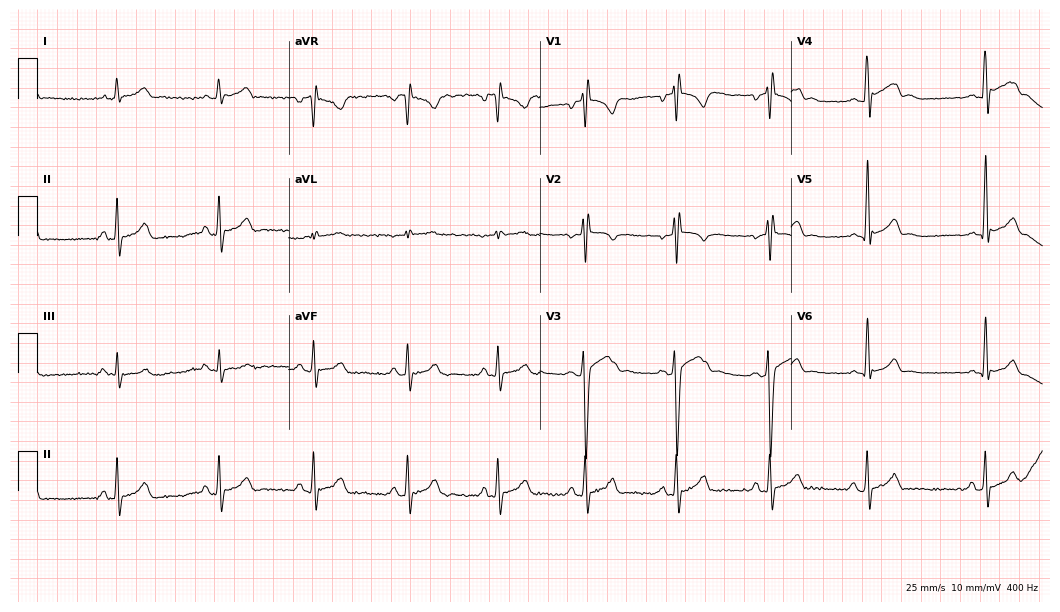
Electrocardiogram, a 24-year-old man. Of the six screened findings (first-degree AV block, right bundle branch block, left bundle branch block, sinus bradycardia, atrial fibrillation, sinus tachycardia), none is recorded. Other findings, if any, are not listed.